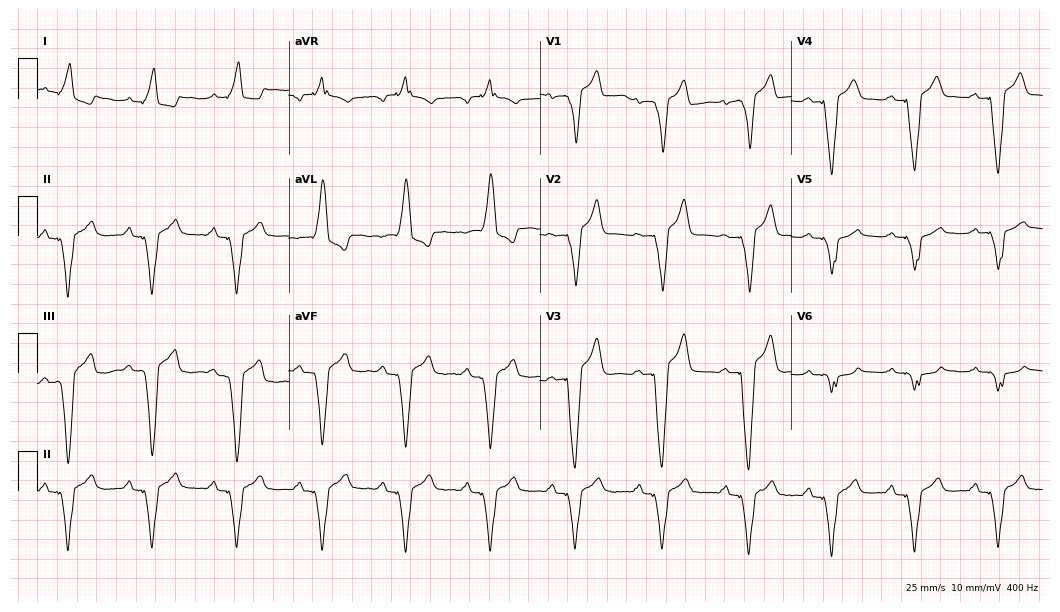
12-lead ECG from a 62-year-old man. No first-degree AV block, right bundle branch block, left bundle branch block, sinus bradycardia, atrial fibrillation or sinus tachycardia recorded for this tracing. Findings outside these six are not listed.